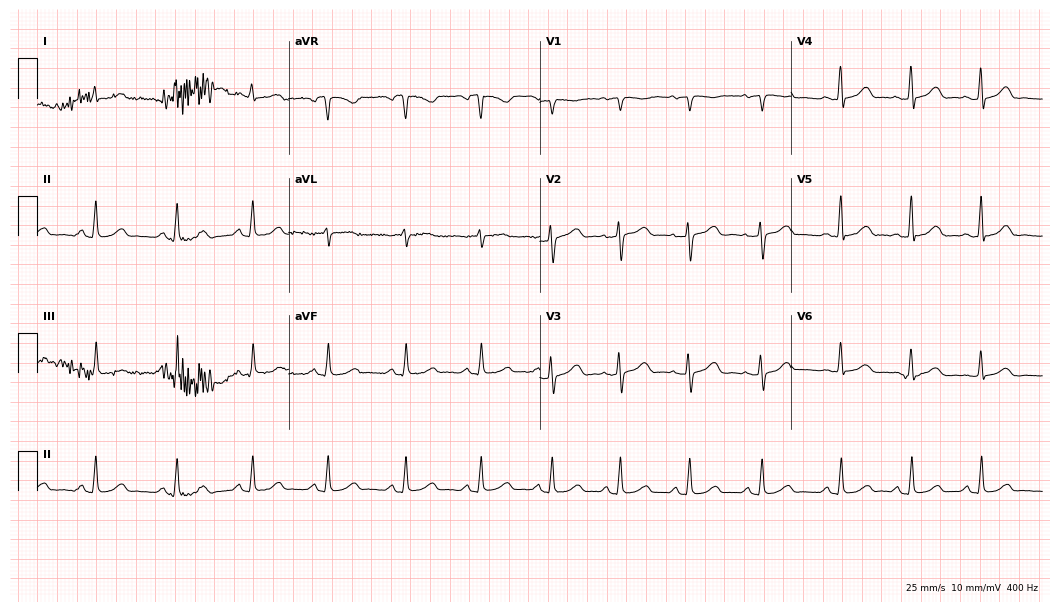
12-lead ECG (10.2-second recording at 400 Hz) from a 55-year-old female patient. Labelled as a normal ECG.